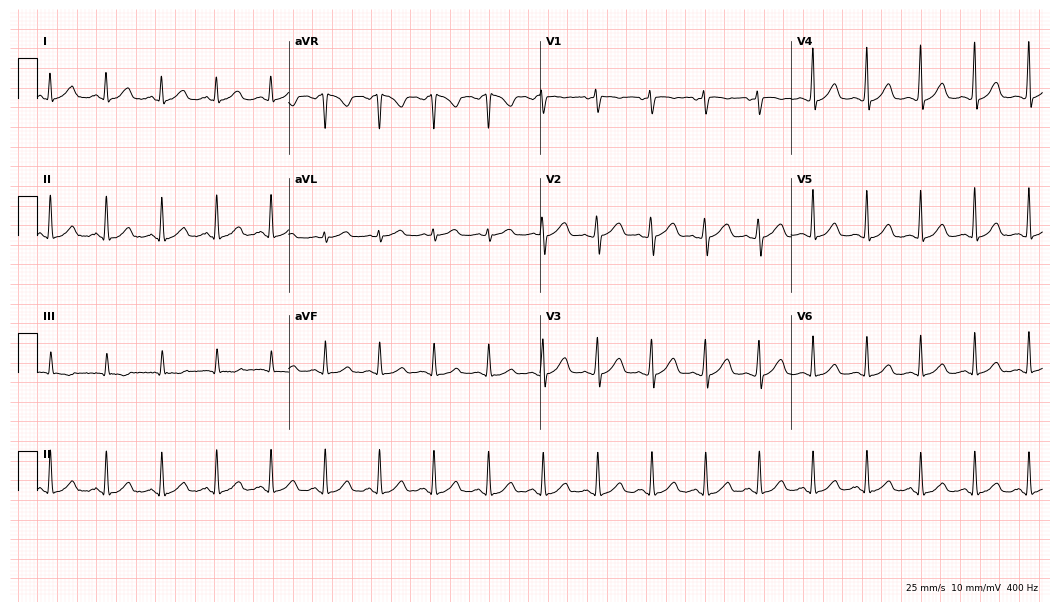
12-lead ECG (10.2-second recording at 400 Hz) from a 50-year-old female patient. Findings include sinus tachycardia (a sinus rate of 100 beats per minute or more).